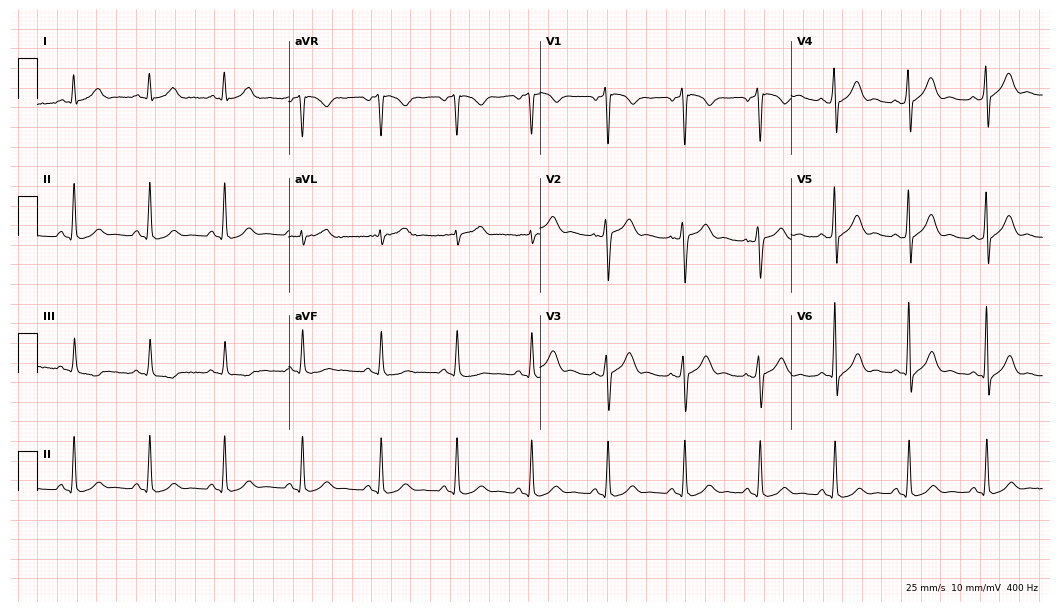
ECG (10.2-second recording at 400 Hz) — a male patient, 38 years old. Labelled as a normal ECG.